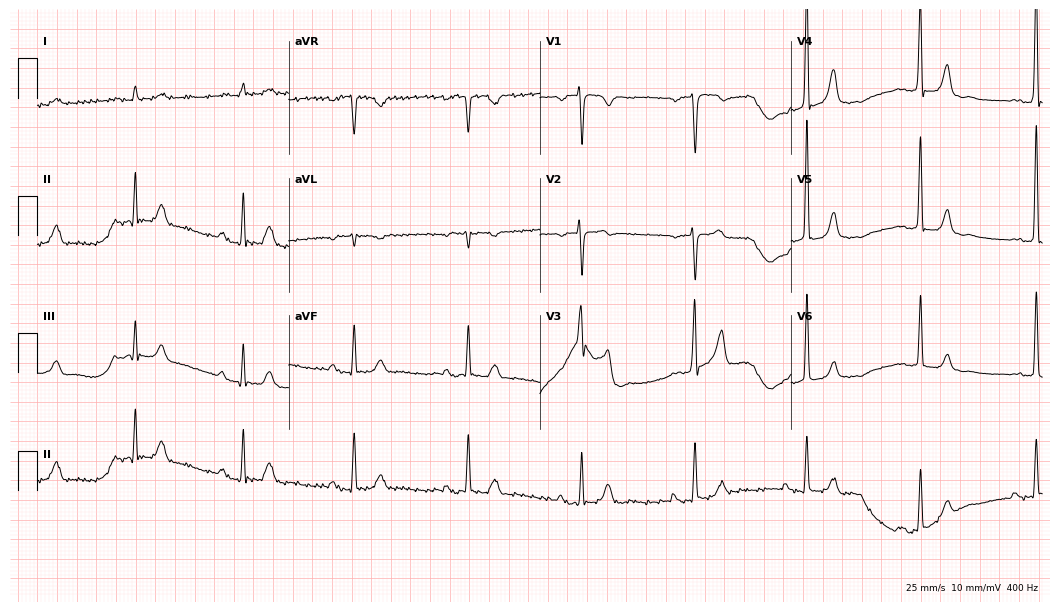
12-lead ECG from a 79-year-old male patient (10.2-second recording at 400 Hz). No first-degree AV block, right bundle branch block, left bundle branch block, sinus bradycardia, atrial fibrillation or sinus tachycardia recorded for this tracing. Only these six findings were labelled.